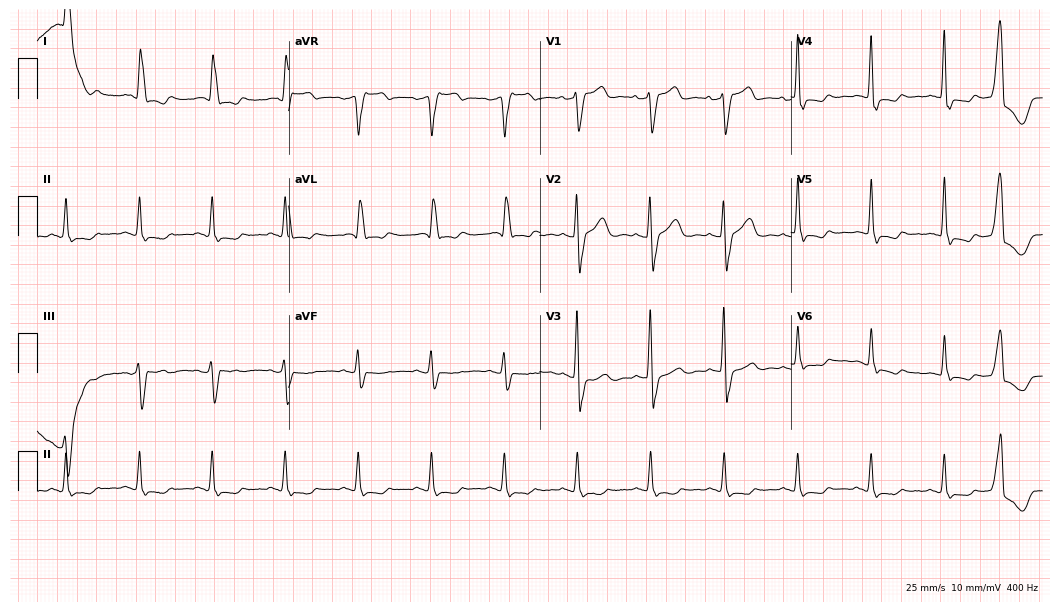
ECG (10.2-second recording at 400 Hz) — a woman, 80 years old. Screened for six findings — first-degree AV block, right bundle branch block, left bundle branch block, sinus bradycardia, atrial fibrillation, sinus tachycardia — none is recorded.